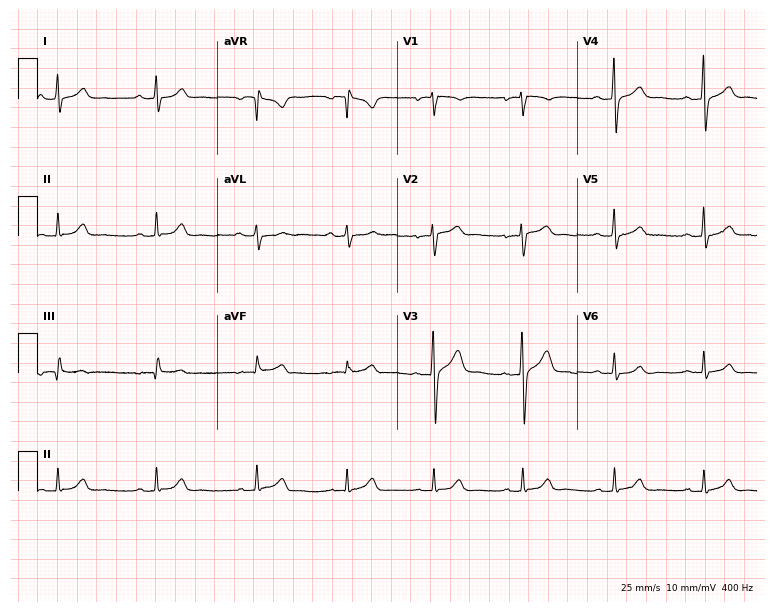
Standard 12-lead ECG recorded from a 35-year-old man. Read as a normal ECG.